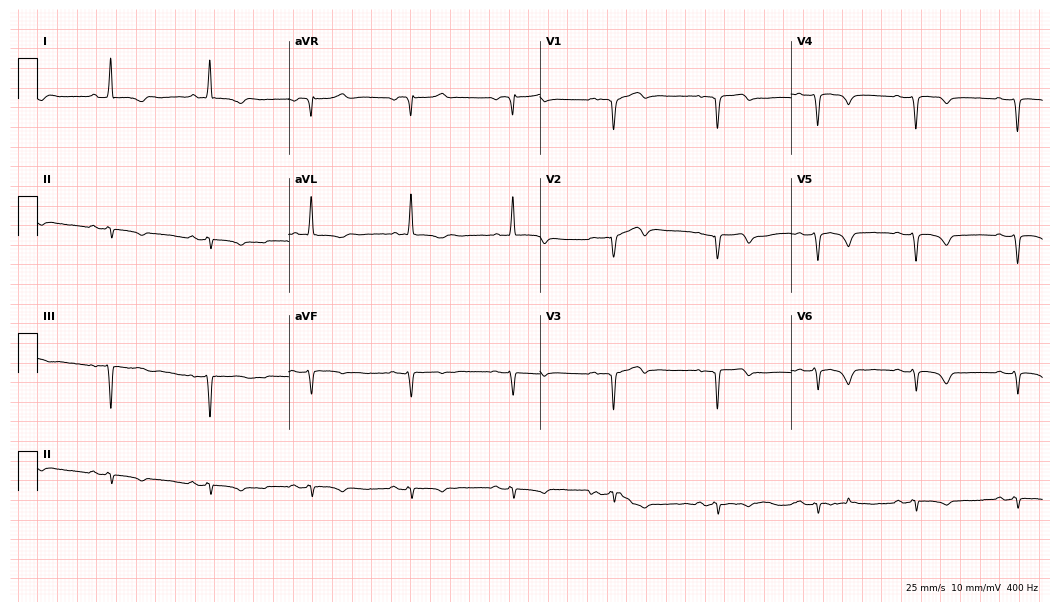
Electrocardiogram, a 66-year-old female. Of the six screened findings (first-degree AV block, right bundle branch block, left bundle branch block, sinus bradycardia, atrial fibrillation, sinus tachycardia), none is recorded.